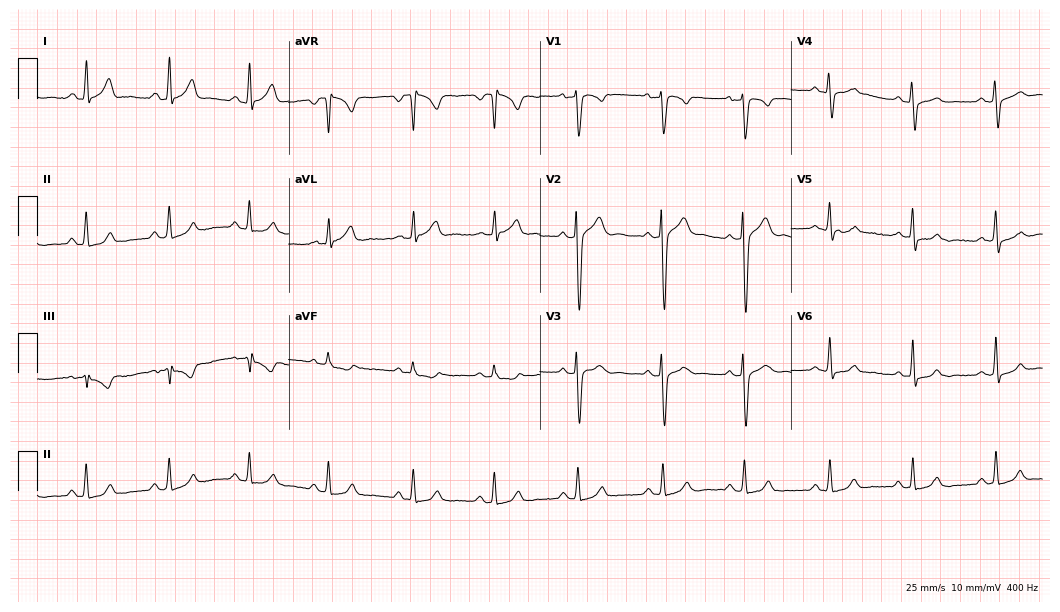
12-lead ECG from a man, 34 years old (10.2-second recording at 400 Hz). Recorded interpretation: within normal limits.